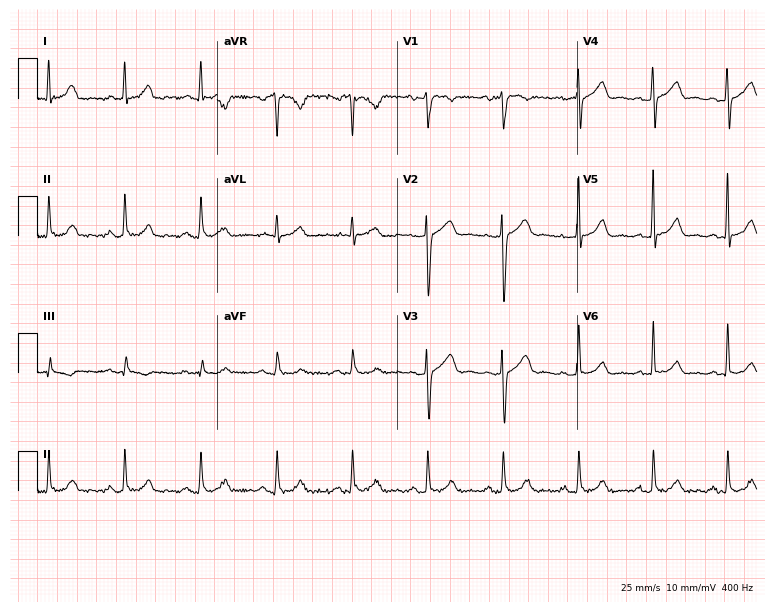
Electrocardiogram, a 46-year-old male. Overall reading on record: normal ECG.